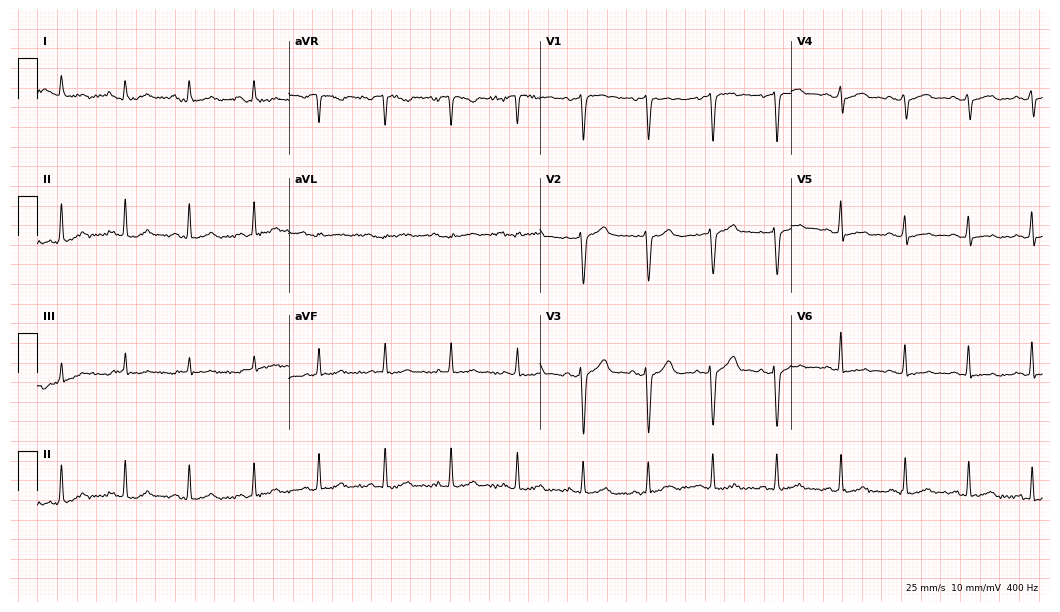
12-lead ECG (10.2-second recording at 400 Hz) from a 72-year-old man. Screened for six findings — first-degree AV block, right bundle branch block (RBBB), left bundle branch block (LBBB), sinus bradycardia, atrial fibrillation (AF), sinus tachycardia — none is recorded.